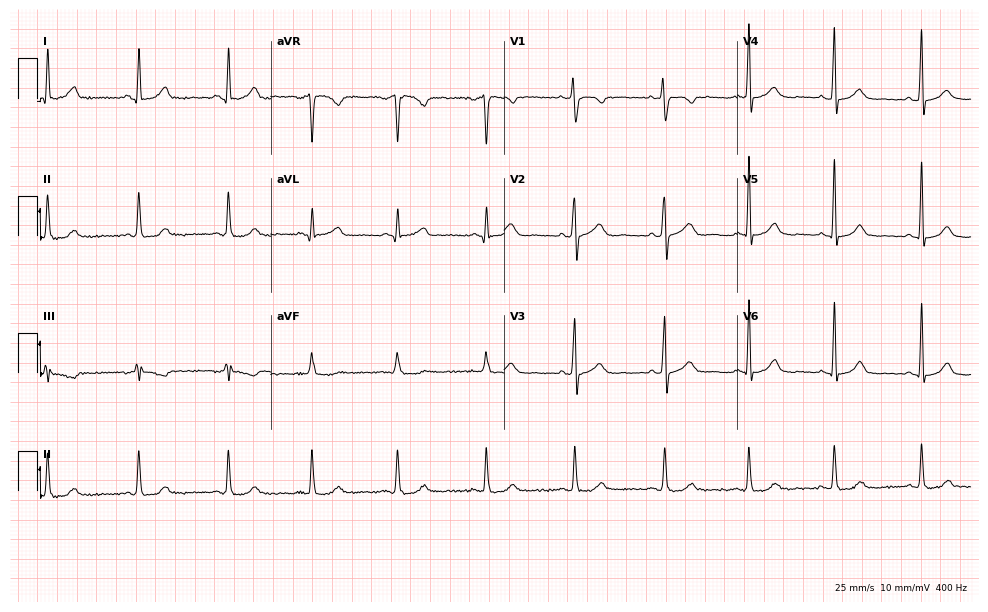
ECG (9.5-second recording at 400 Hz) — a 36-year-old female patient. Labelled as a normal ECG.